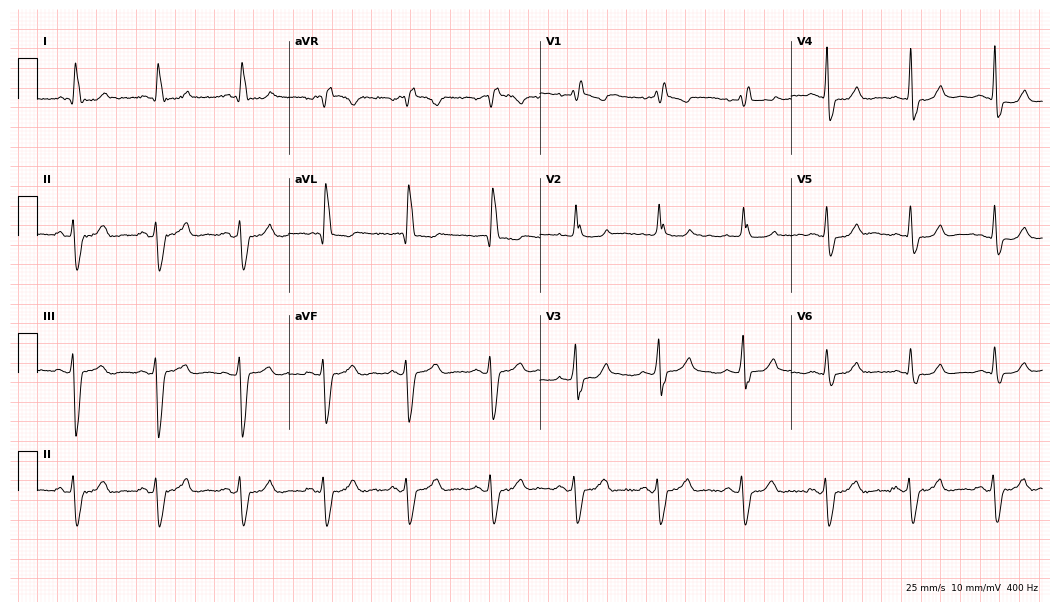
Standard 12-lead ECG recorded from a male, 84 years old (10.2-second recording at 400 Hz). The tracing shows right bundle branch block (RBBB).